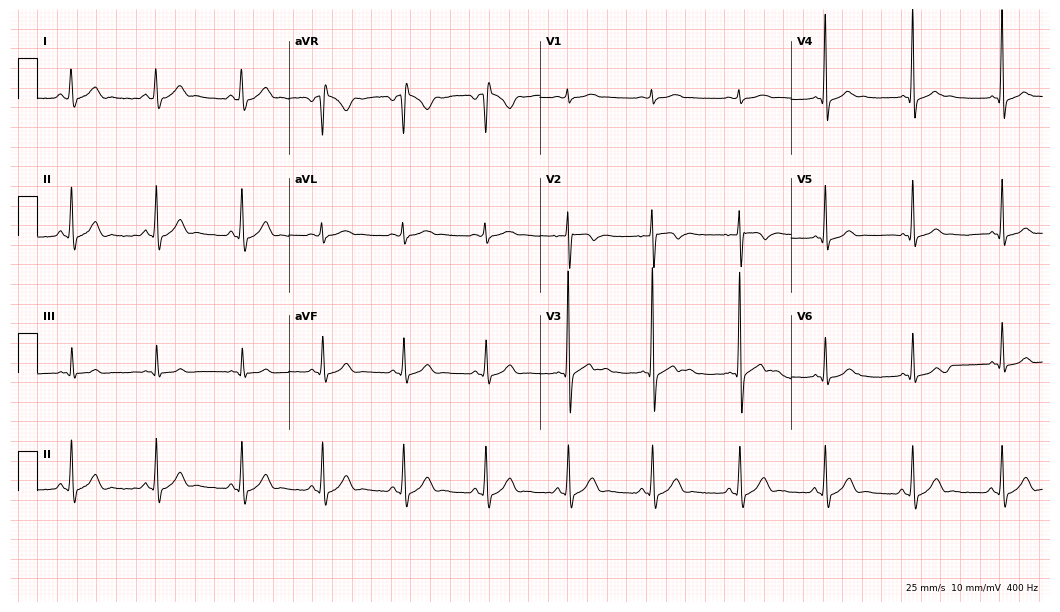
Electrocardiogram (10.2-second recording at 400 Hz), a male, 17 years old. Overall reading on record: normal ECG.